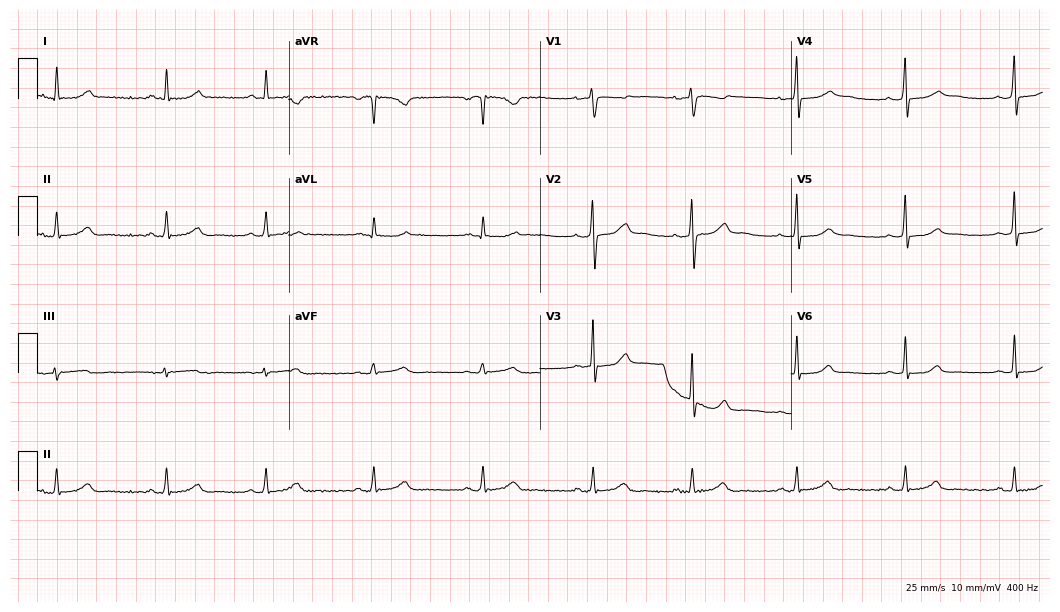
12-lead ECG from a 37-year-old female patient (10.2-second recording at 400 Hz). No first-degree AV block, right bundle branch block, left bundle branch block, sinus bradycardia, atrial fibrillation or sinus tachycardia recorded for this tracing. Only these six findings were labelled.